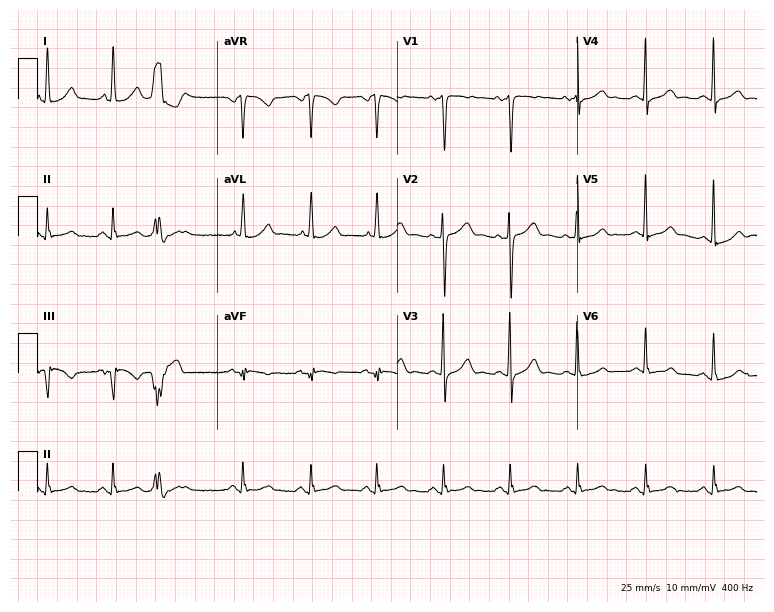
ECG (7.3-second recording at 400 Hz) — a 75-year-old female. Screened for six findings — first-degree AV block, right bundle branch block, left bundle branch block, sinus bradycardia, atrial fibrillation, sinus tachycardia — none is recorded. Only these six findings were labelled.